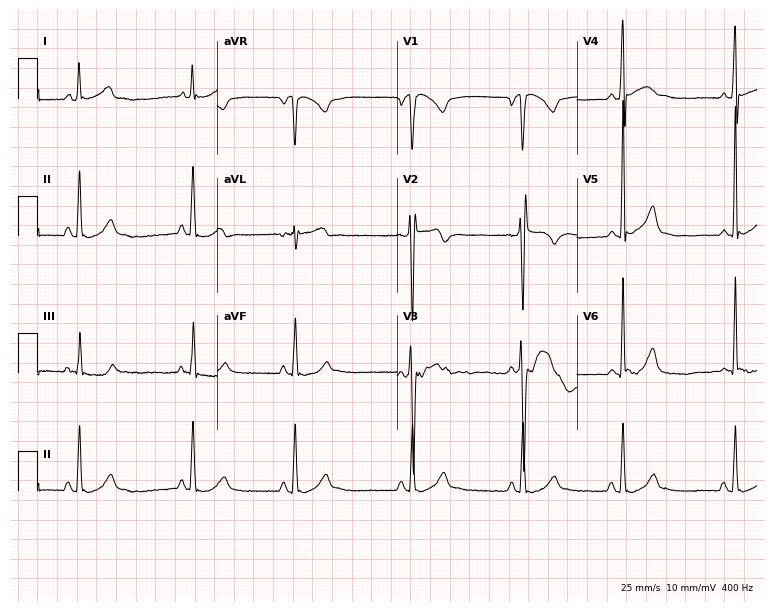
12-lead ECG from a male patient, 17 years old. Labelled as a normal ECG.